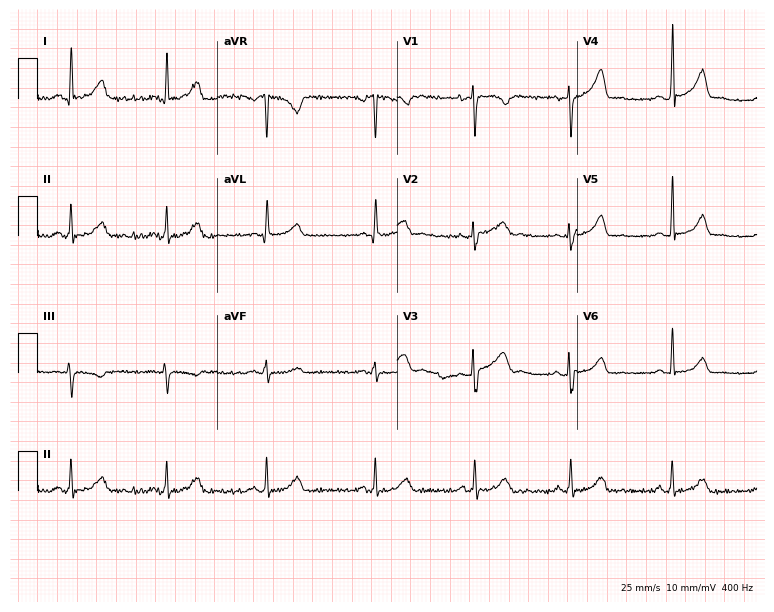
12-lead ECG from a female, 24 years old (7.3-second recording at 400 Hz). No first-degree AV block, right bundle branch block, left bundle branch block, sinus bradycardia, atrial fibrillation or sinus tachycardia recorded for this tracing. Other findings, if any, are not listed.